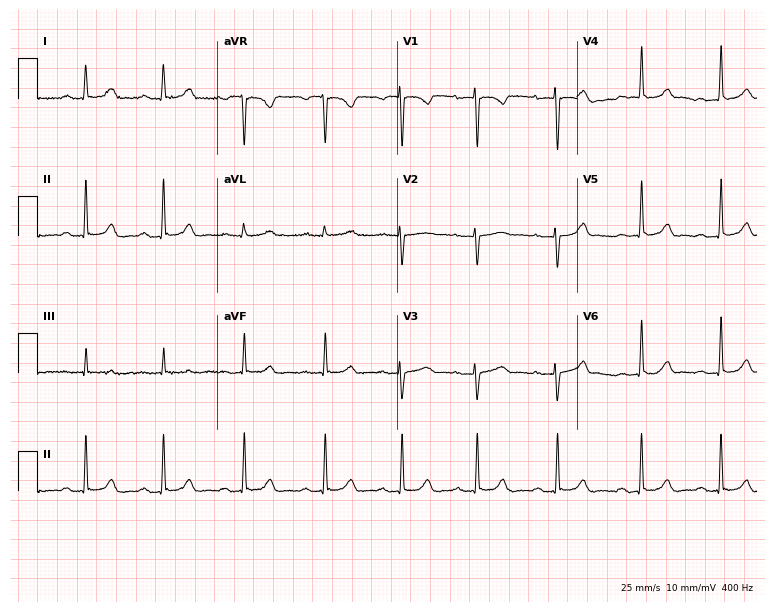
Resting 12-lead electrocardiogram. Patient: a 26-year-old female. The tracing shows first-degree AV block.